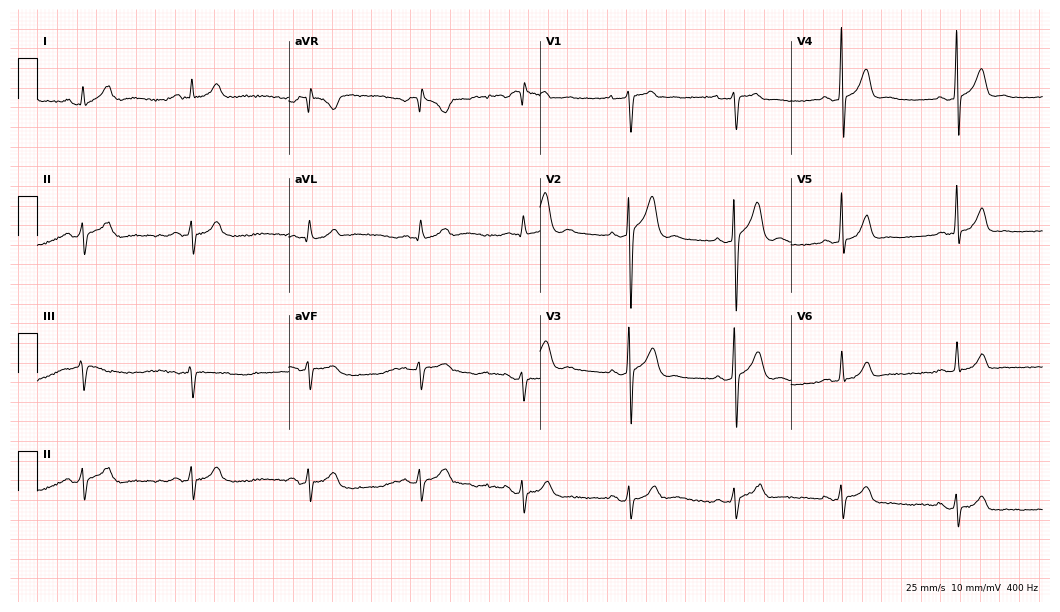
Resting 12-lead electrocardiogram (10.2-second recording at 400 Hz). Patient: a 22-year-old man. None of these six findings is recorded: first-degree AV block, right bundle branch block, left bundle branch block, sinus bradycardia, atrial fibrillation, sinus tachycardia.